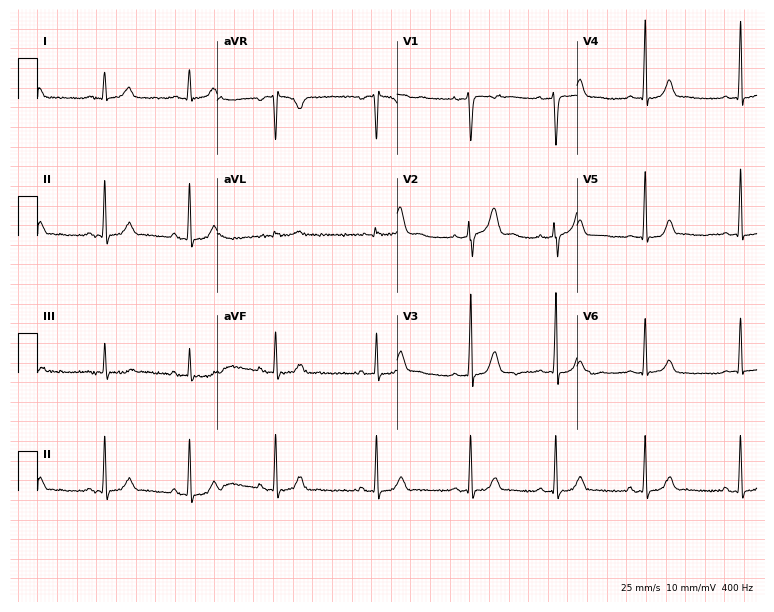
Electrocardiogram, a 35-year-old female patient. Of the six screened findings (first-degree AV block, right bundle branch block (RBBB), left bundle branch block (LBBB), sinus bradycardia, atrial fibrillation (AF), sinus tachycardia), none is recorded.